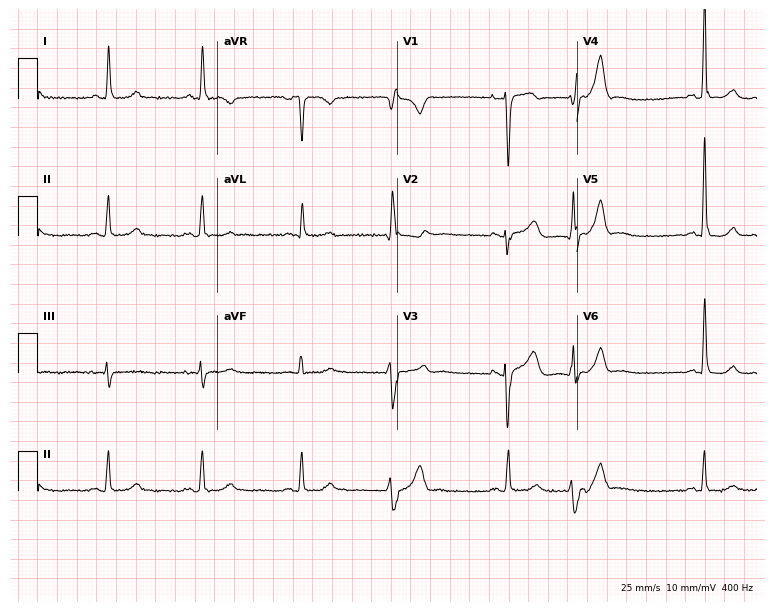
Standard 12-lead ECG recorded from a female patient, 63 years old. None of these six findings is recorded: first-degree AV block, right bundle branch block, left bundle branch block, sinus bradycardia, atrial fibrillation, sinus tachycardia. Only these six findings were labelled.